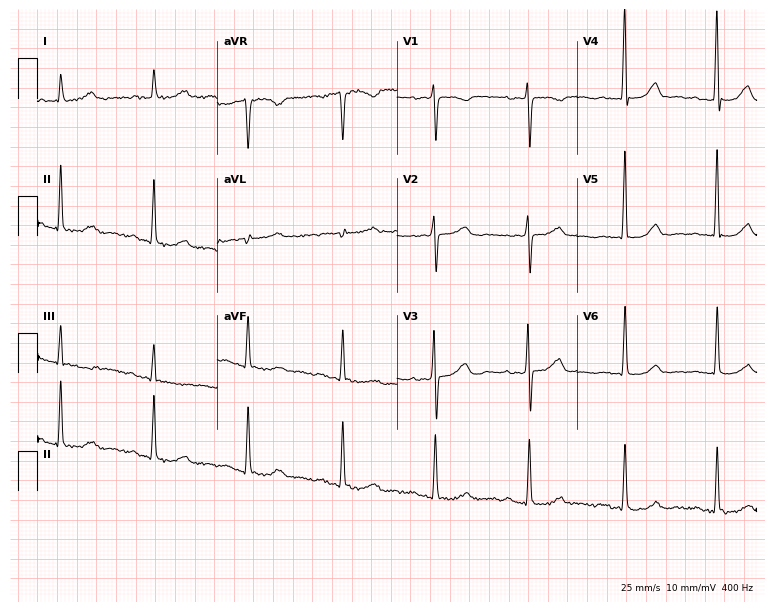
12-lead ECG from a female, 84 years old. Screened for six findings — first-degree AV block, right bundle branch block, left bundle branch block, sinus bradycardia, atrial fibrillation, sinus tachycardia — none is recorded. Only these six findings were labelled.